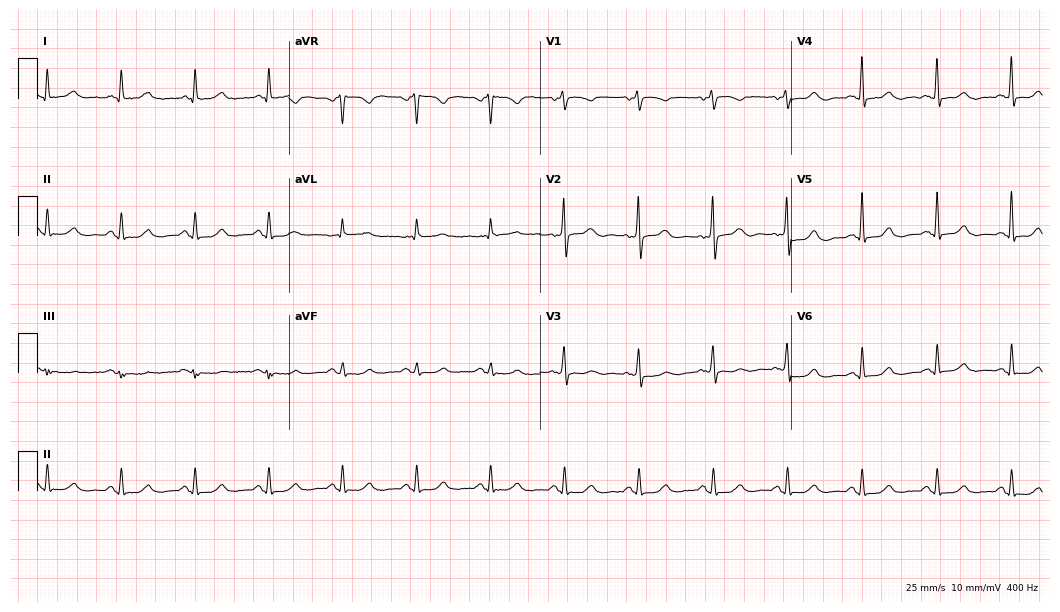
Standard 12-lead ECG recorded from a female patient, 79 years old. Read as a normal ECG.